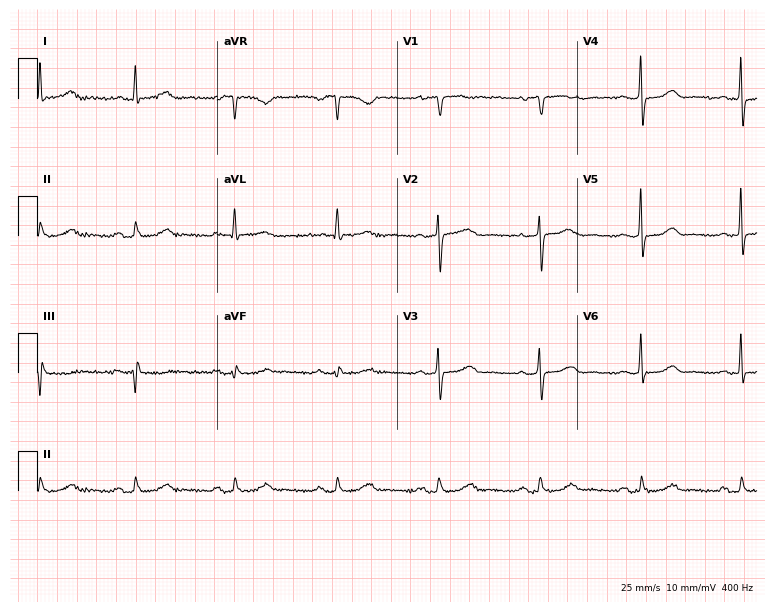
12-lead ECG from a 76-year-old female patient (7.3-second recording at 400 Hz). No first-degree AV block, right bundle branch block (RBBB), left bundle branch block (LBBB), sinus bradycardia, atrial fibrillation (AF) or sinus tachycardia recorded for this tracing. Other findings, if any, are not listed.